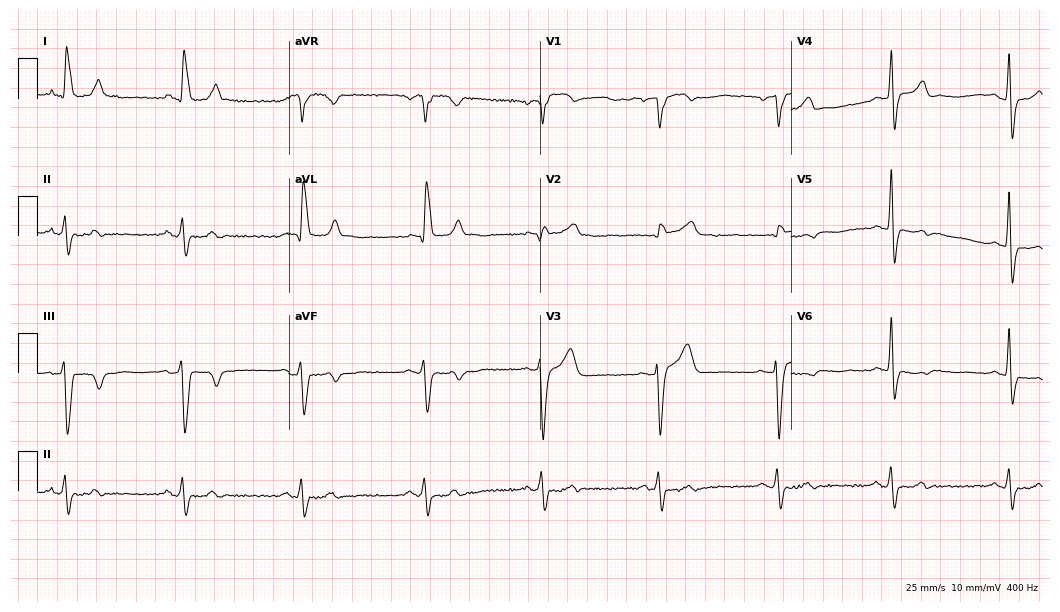
12-lead ECG (10.2-second recording at 400 Hz) from a male, 80 years old. Findings include sinus bradycardia (a sinus rate of 50 beats per minute or less).